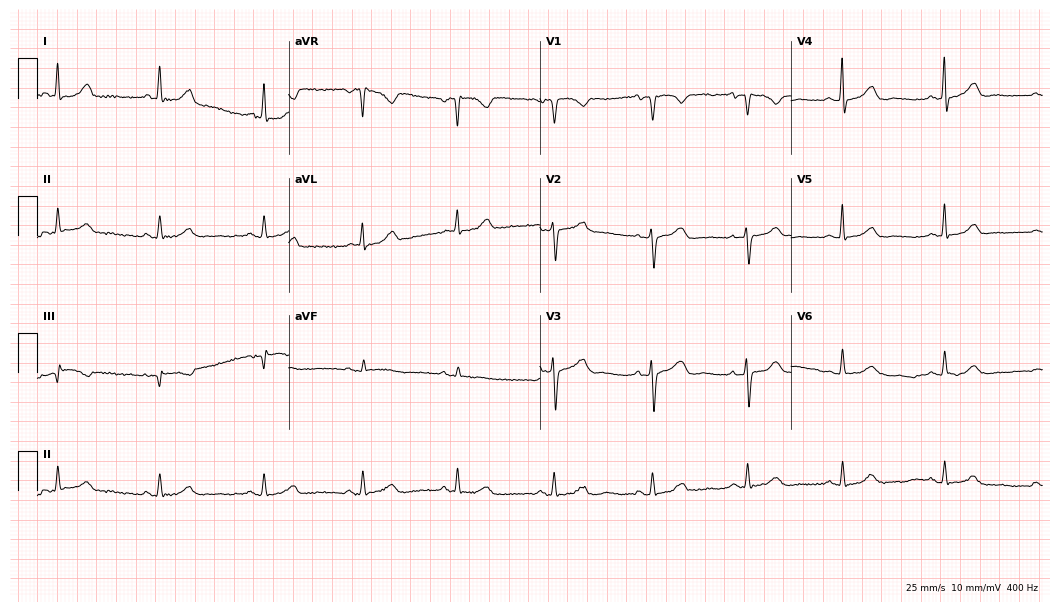
12-lead ECG (10.2-second recording at 400 Hz) from a female patient, 68 years old. Labelled as a normal ECG.